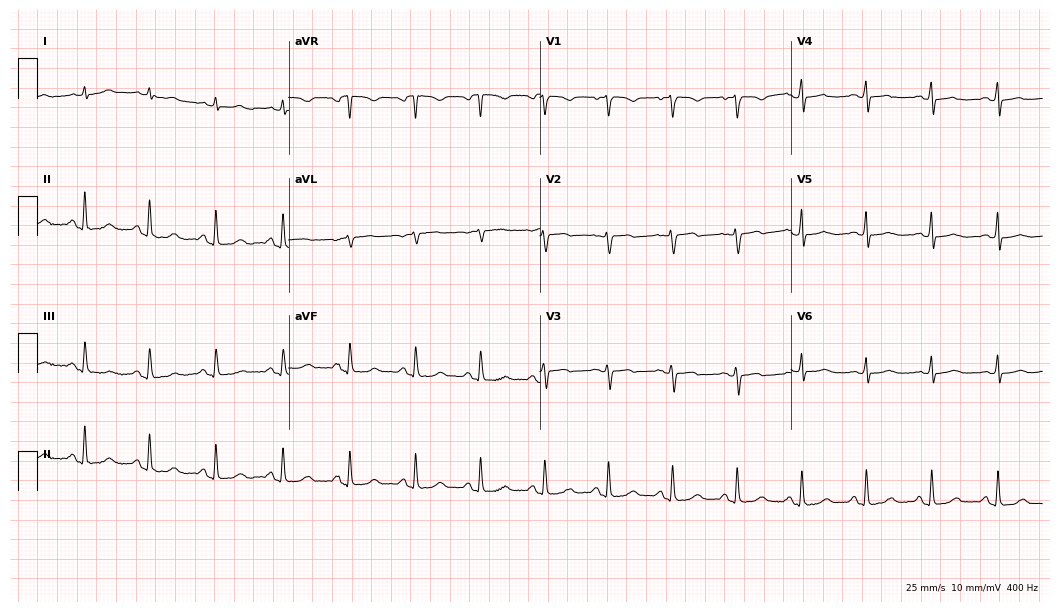
ECG (10.2-second recording at 400 Hz) — a woman, 55 years old. Labelled as a normal ECG.